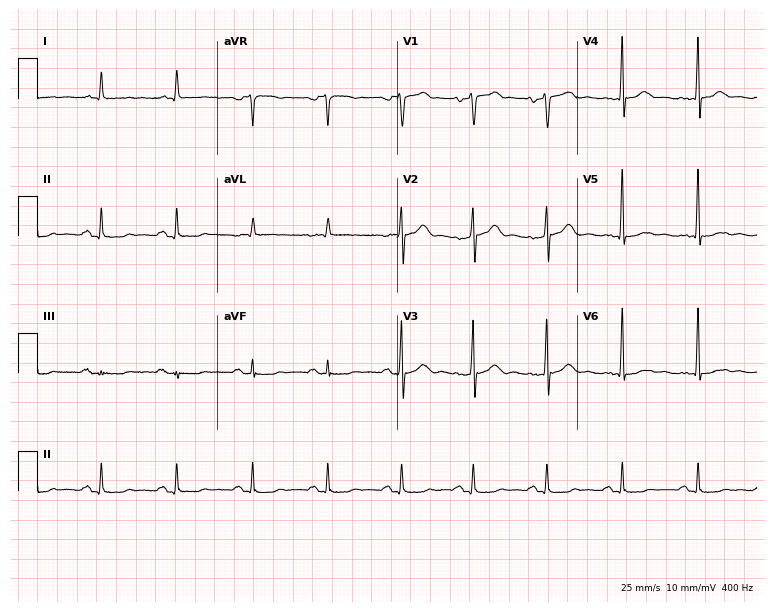
ECG (7.3-second recording at 400 Hz) — a 62-year-old man. Screened for six findings — first-degree AV block, right bundle branch block (RBBB), left bundle branch block (LBBB), sinus bradycardia, atrial fibrillation (AF), sinus tachycardia — none is recorded.